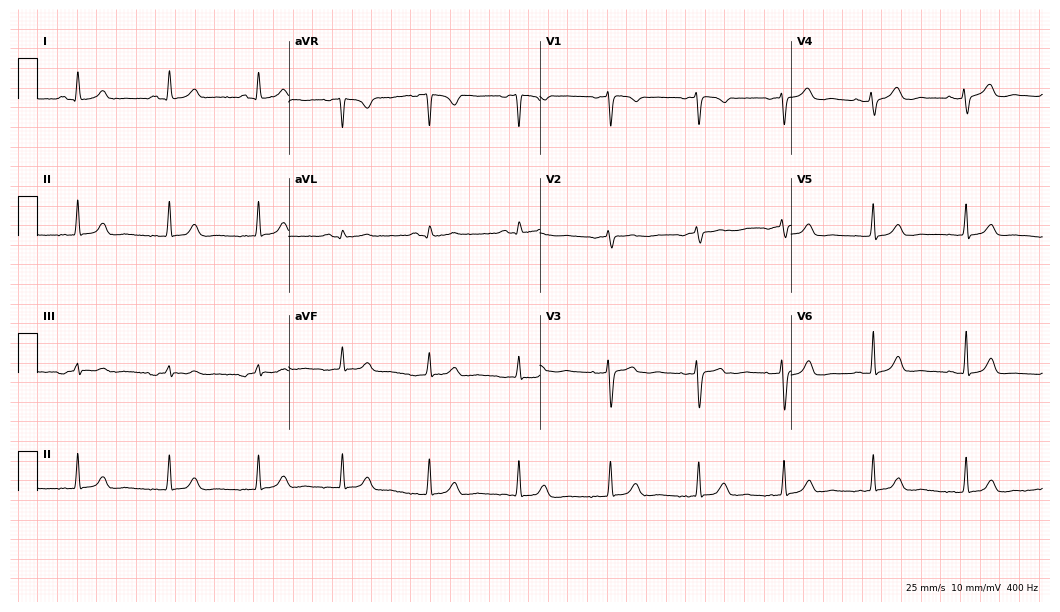
Resting 12-lead electrocardiogram. Patient: a woman, 32 years old. None of these six findings is recorded: first-degree AV block, right bundle branch block (RBBB), left bundle branch block (LBBB), sinus bradycardia, atrial fibrillation (AF), sinus tachycardia. Findings outside these six are not listed.